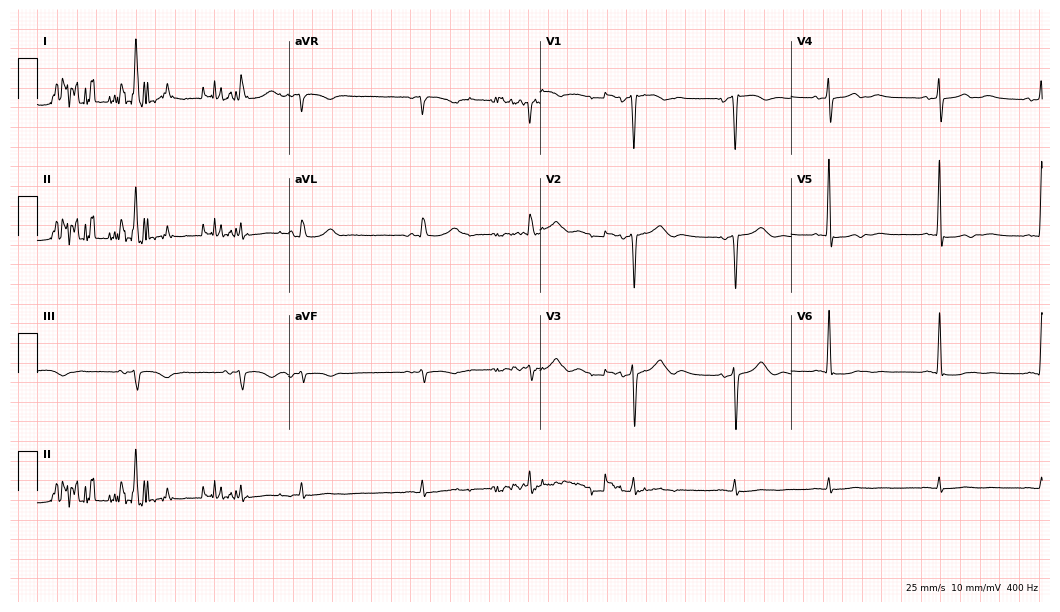
12-lead ECG from a female, 39 years old (10.2-second recording at 400 Hz). No first-degree AV block, right bundle branch block, left bundle branch block, sinus bradycardia, atrial fibrillation or sinus tachycardia recorded for this tracing. Other findings, if any, are not listed.